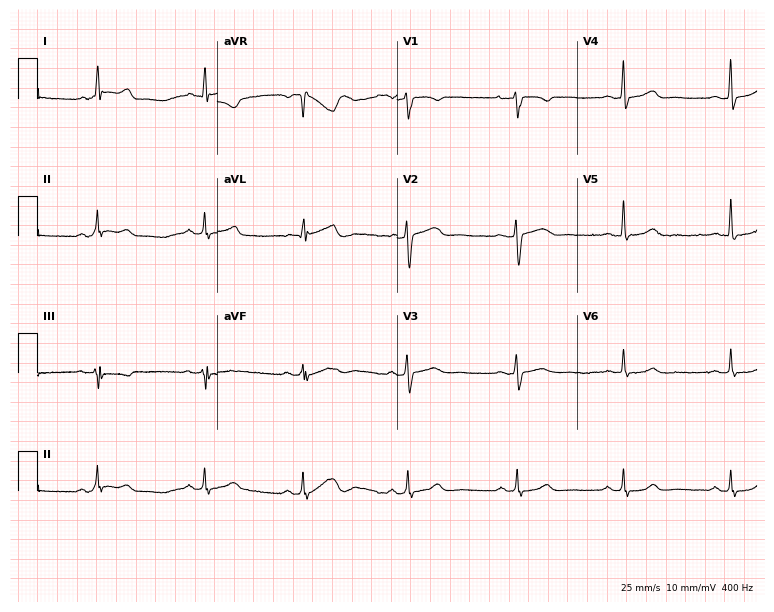
12-lead ECG from a 25-year-old woman (7.3-second recording at 400 Hz). No first-degree AV block, right bundle branch block, left bundle branch block, sinus bradycardia, atrial fibrillation or sinus tachycardia recorded for this tracing.